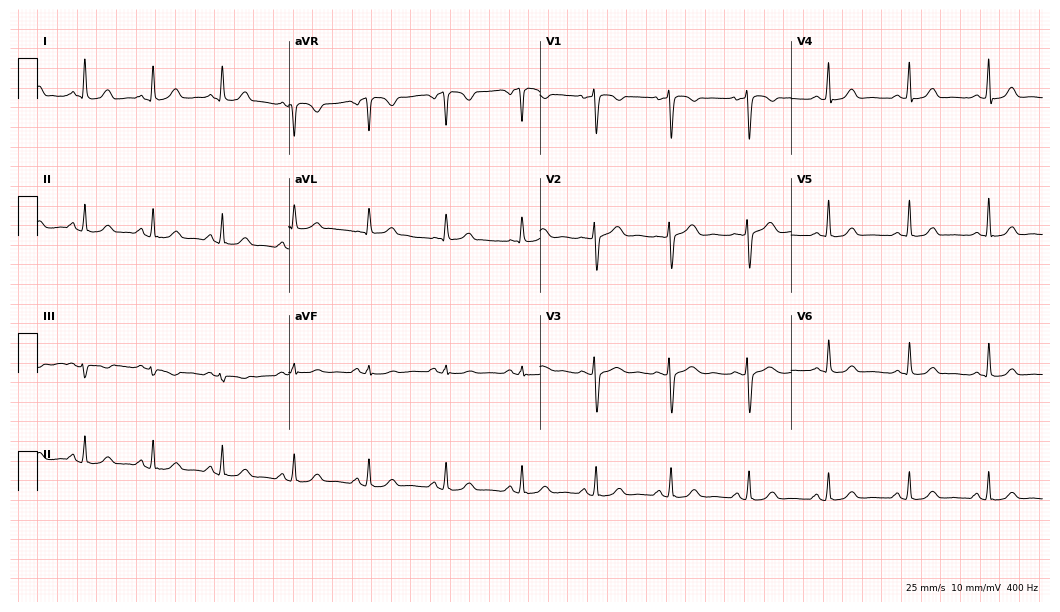
ECG — a 43-year-old female. Labelled as a normal ECG.